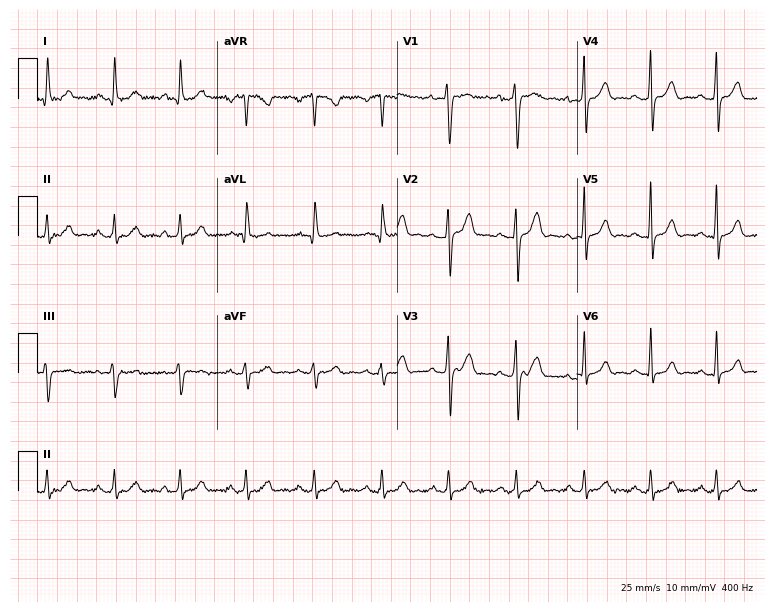
ECG — a woman, 33 years old. Screened for six findings — first-degree AV block, right bundle branch block (RBBB), left bundle branch block (LBBB), sinus bradycardia, atrial fibrillation (AF), sinus tachycardia — none is recorded.